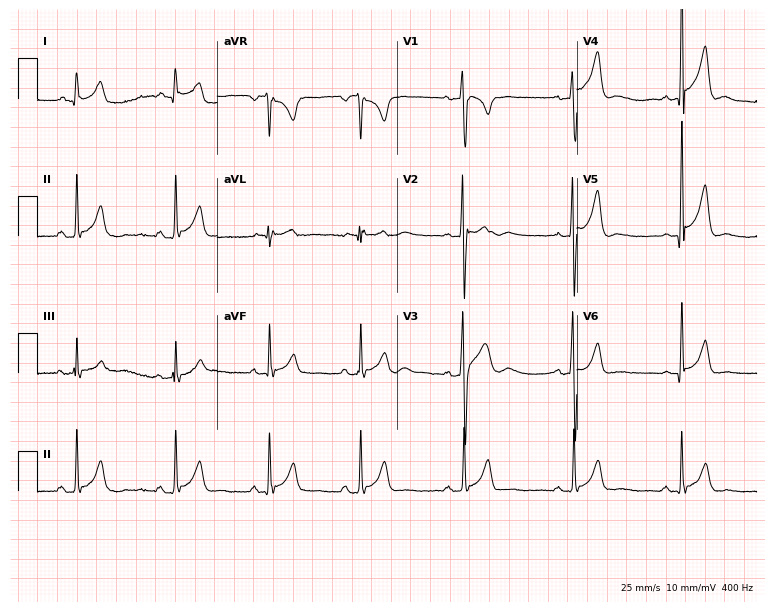
12-lead ECG from a 26-year-old male. Screened for six findings — first-degree AV block, right bundle branch block, left bundle branch block, sinus bradycardia, atrial fibrillation, sinus tachycardia — none is recorded.